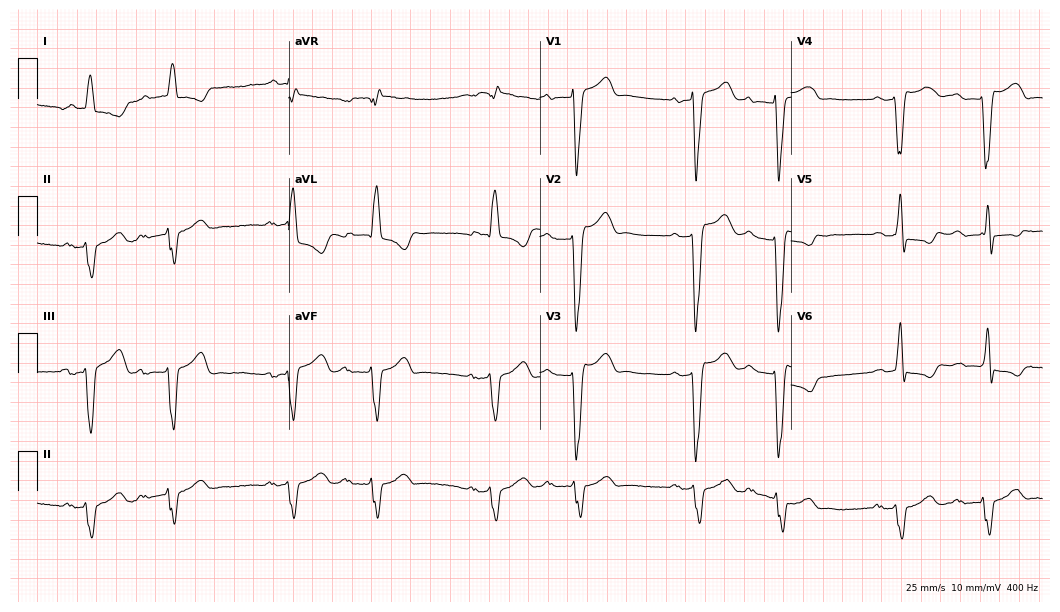
Electrocardiogram, a 71-year-old man. Of the six screened findings (first-degree AV block, right bundle branch block, left bundle branch block, sinus bradycardia, atrial fibrillation, sinus tachycardia), none is recorded.